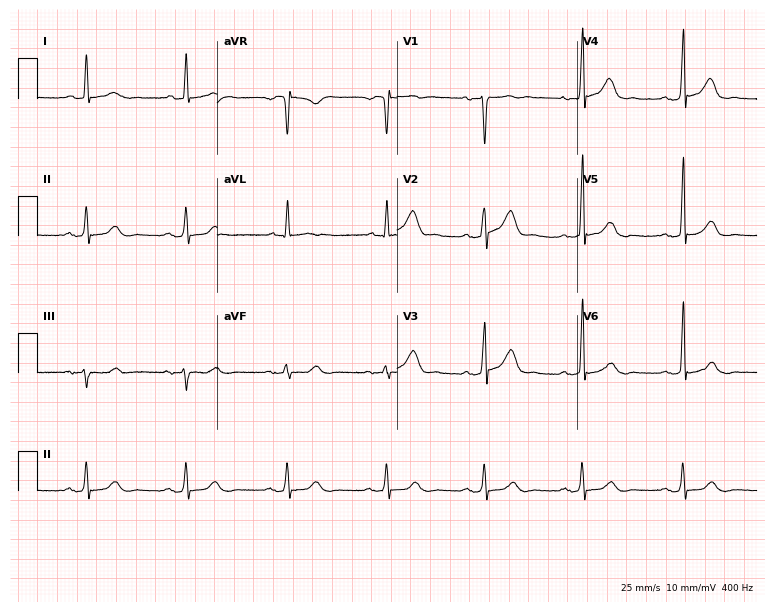
ECG (7.3-second recording at 400 Hz) — a 43-year-old male patient. Screened for six findings — first-degree AV block, right bundle branch block, left bundle branch block, sinus bradycardia, atrial fibrillation, sinus tachycardia — none is recorded. Other findings, if any, are not listed.